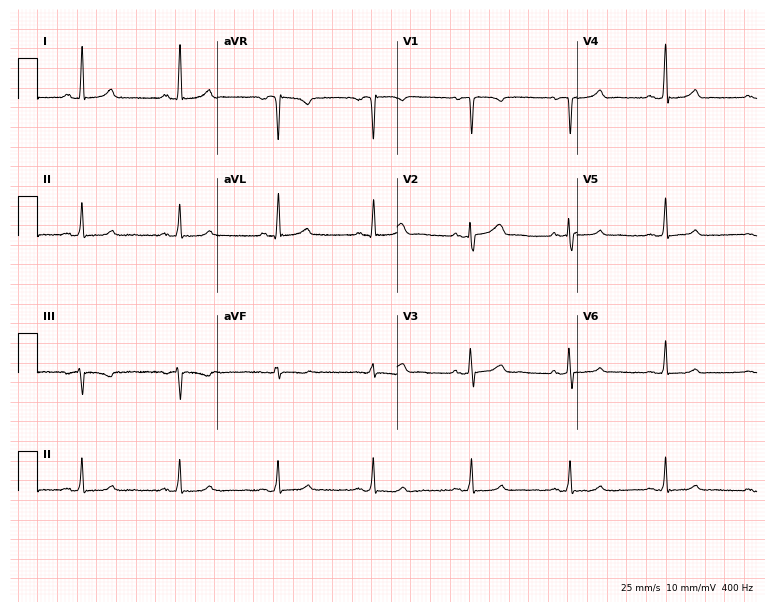
12-lead ECG from a 51-year-old female patient. Recorded interpretation: within normal limits.